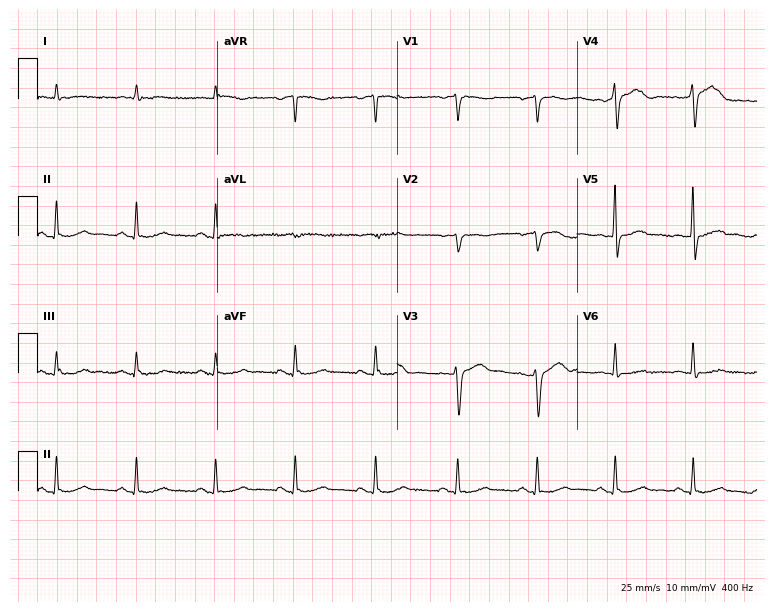
Standard 12-lead ECG recorded from a male patient, 79 years old. None of these six findings is recorded: first-degree AV block, right bundle branch block, left bundle branch block, sinus bradycardia, atrial fibrillation, sinus tachycardia. Only these six findings were labelled.